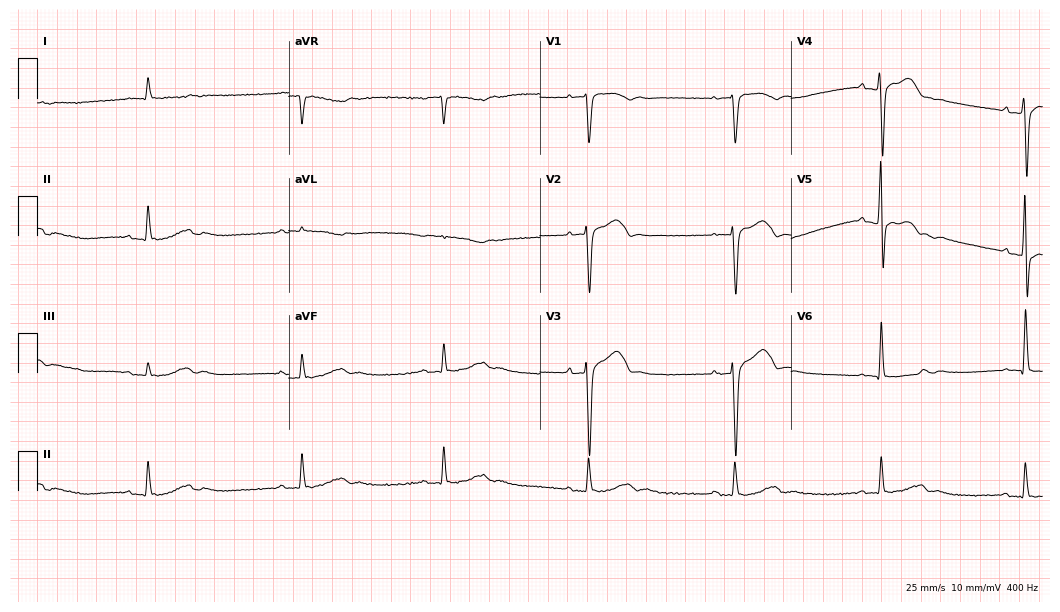
12-lead ECG from a 75-year-old man (10.2-second recording at 400 Hz). Shows first-degree AV block, sinus bradycardia (a sinus rate of 50 beats per minute or less).